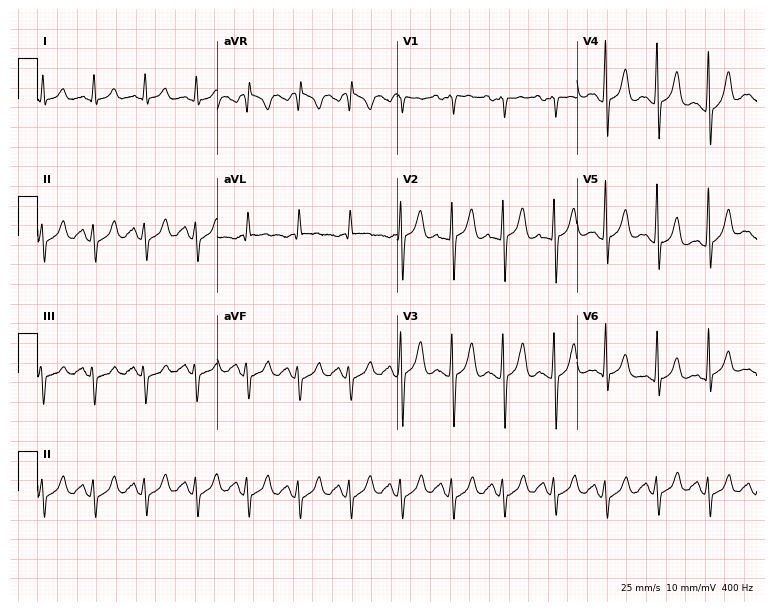
12-lead ECG (7.3-second recording at 400 Hz) from a 63-year-old male patient. Findings include sinus tachycardia (a sinus rate of 100 beats per minute or more).